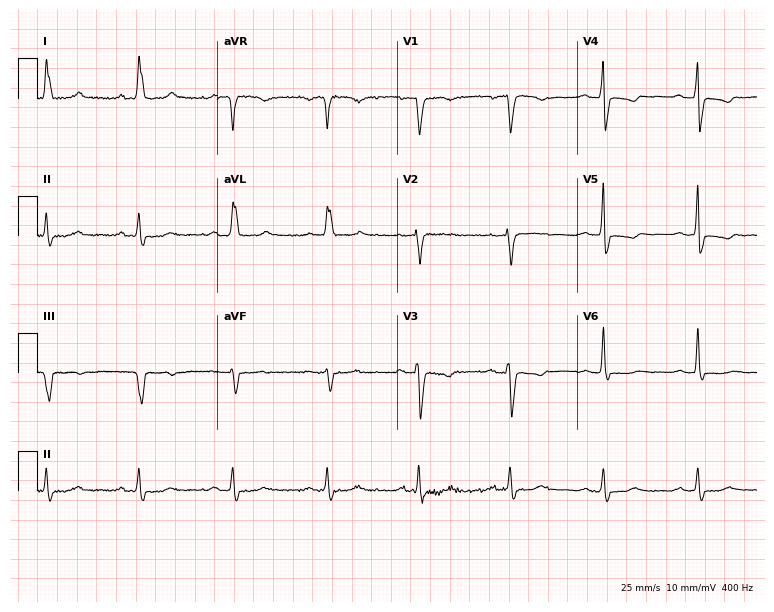
Resting 12-lead electrocardiogram. Patient: an 80-year-old female. None of these six findings is recorded: first-degree AV block, right bundle branch block, left bundle branch block, sinus bradycardia, atrial fibrillation, sinus tachycardia. Only these six findings were labelled.